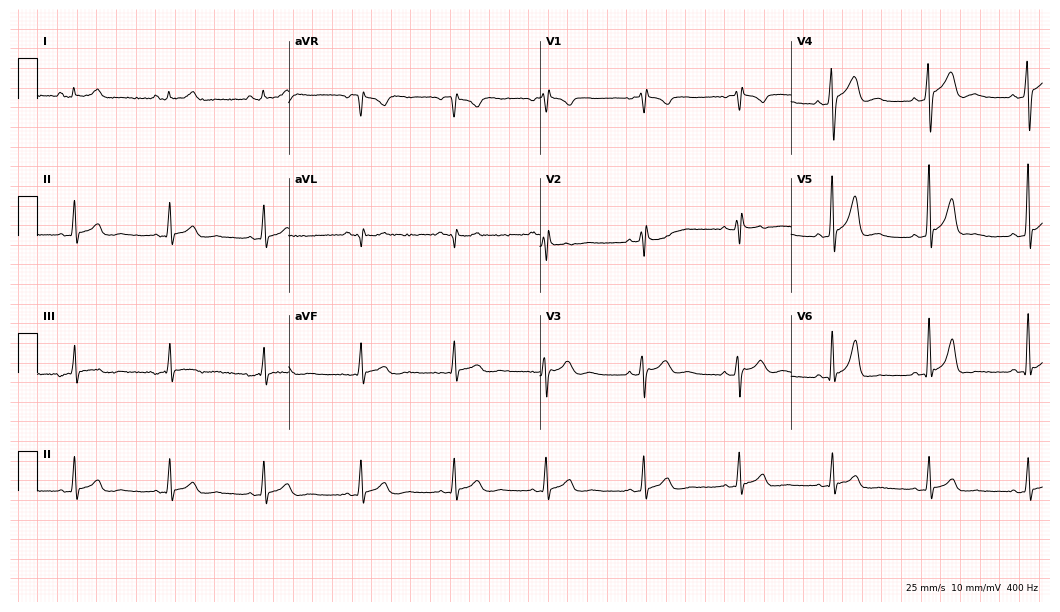
Standard 12-lead ECG recorded from a 53-year-old male. None of these six findings is recorded: first-degree AV block, right bundle branch block (RBBB), left bundle branch block (LBBB), sinus bradycardia, atrial fibrillation (AF), sinus tachycardia.